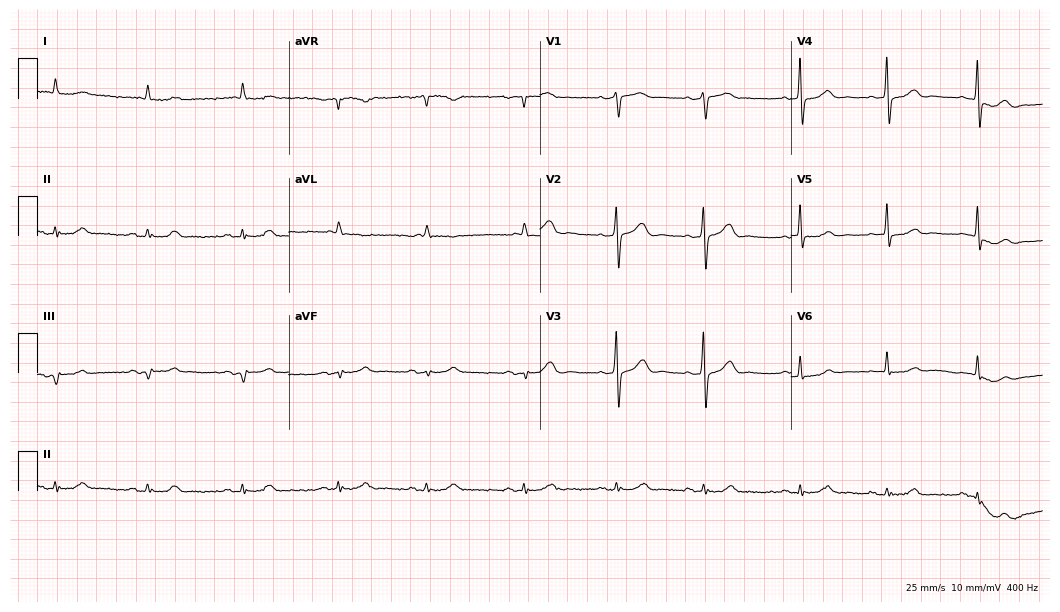
12-lead ECG from an 84-year-old female patient (10.2-second recording at 400 Hz). No first-degree AV block, right bundle branch block, left bundle branch block, sinus bradycardia, atrial fibrillation or sinus tachycardia recorded for this tracing.